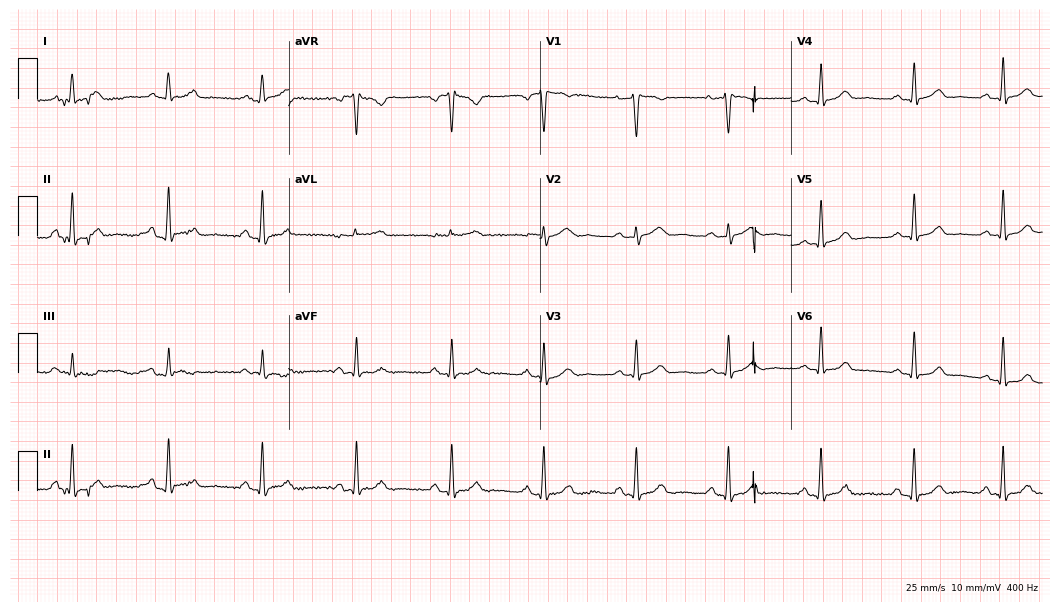
Electrocardiogram (10.2-second recording at 400 Hz), a 53-year-old woman. Overall reading on record: normal ECG.